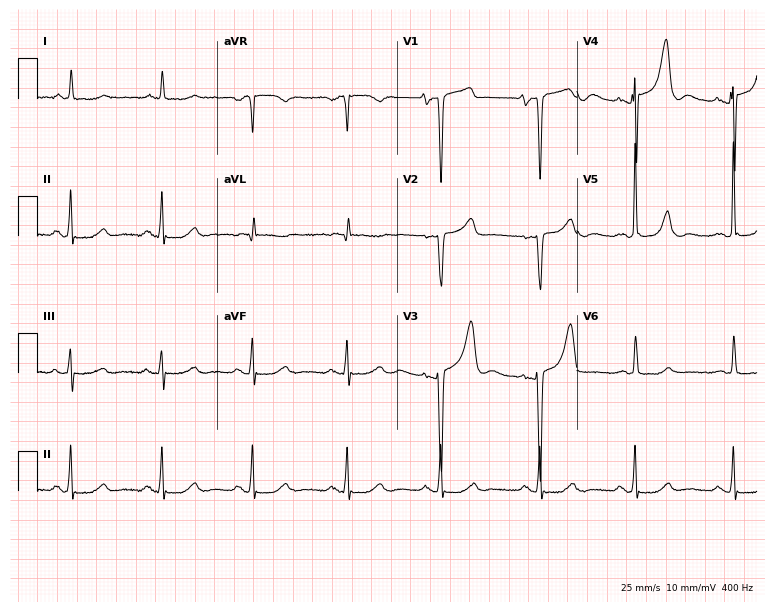
Resting 12-lead electrocardiogram. Patient: a female, 83 years old. None of these six findings is recorded: first-degree AV block, right bundle branch block, left bundle branch block, sinus bradycardia, atrial fibrillation, sinus tachycardia.